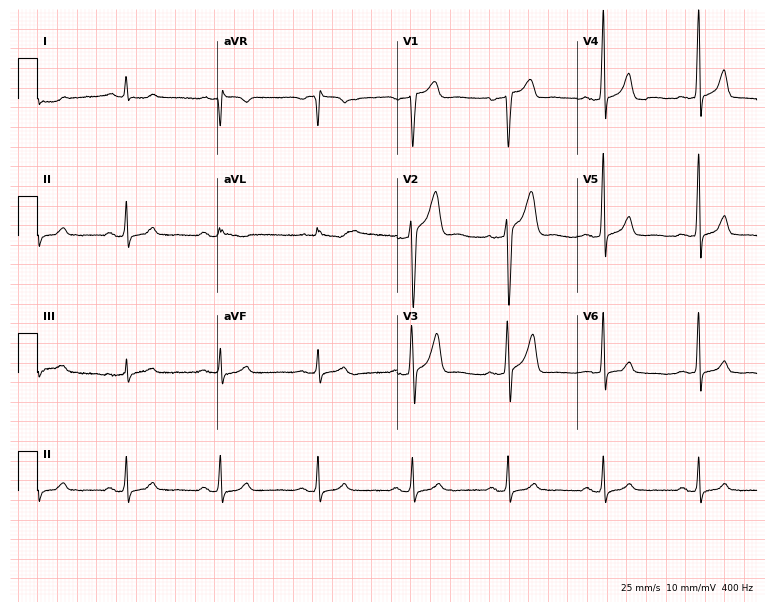
12-lead ECG from a 58-year-old male patient. Screened for six findings — first-degree AV block, right bundle branch block, left bundle branch block, sinus bradycardia, atrial fibrillation, sinus tachycardia — none is recorded. Other findings, if any, are not listed.